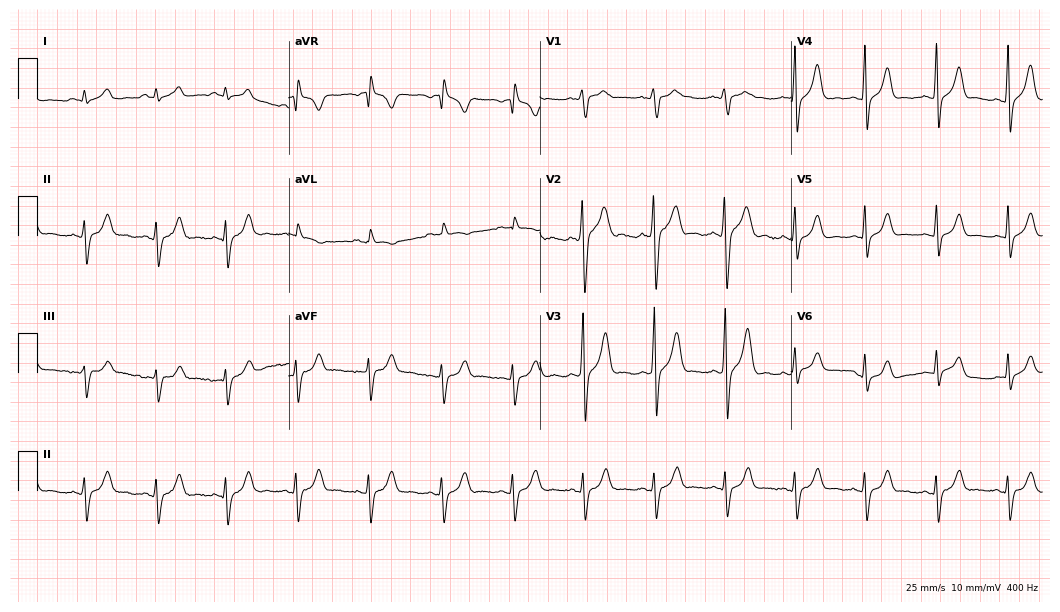
12-lead ECG from a 19-year-old male. Labelled as a normal ECG.